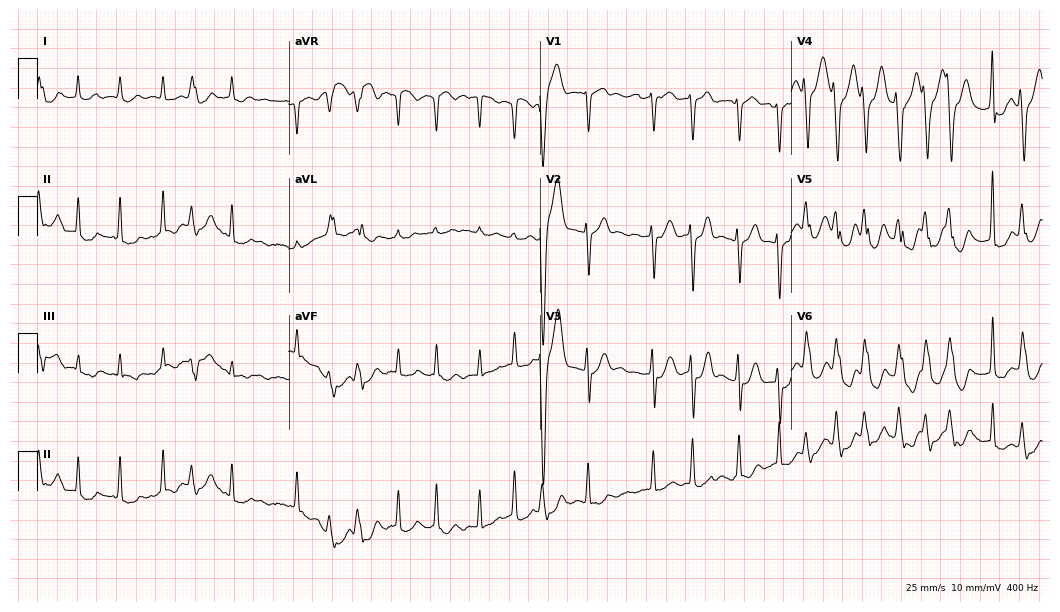
ECG — an 82-year-old woman. Findings include atrial fibrillation.